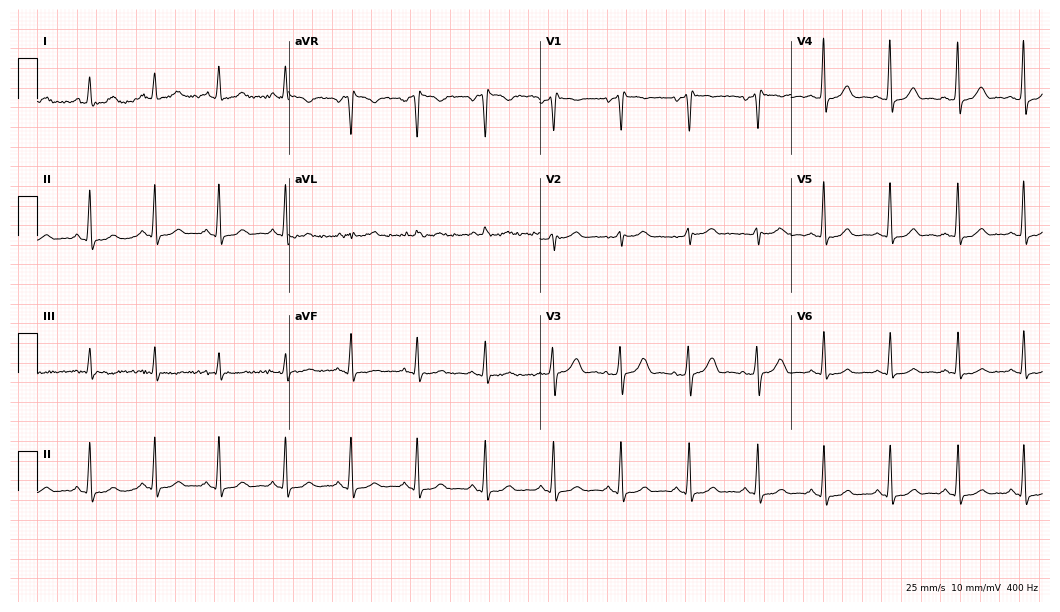
Resting 12-lead electrocardiogram. Patient: a 35-year-old woman. None of these six findings is recorded: first-degree AV block, right bundle branch block, left bundle branch block, sinus bradycardia, atrial fibrillation, sinus tachycardia.